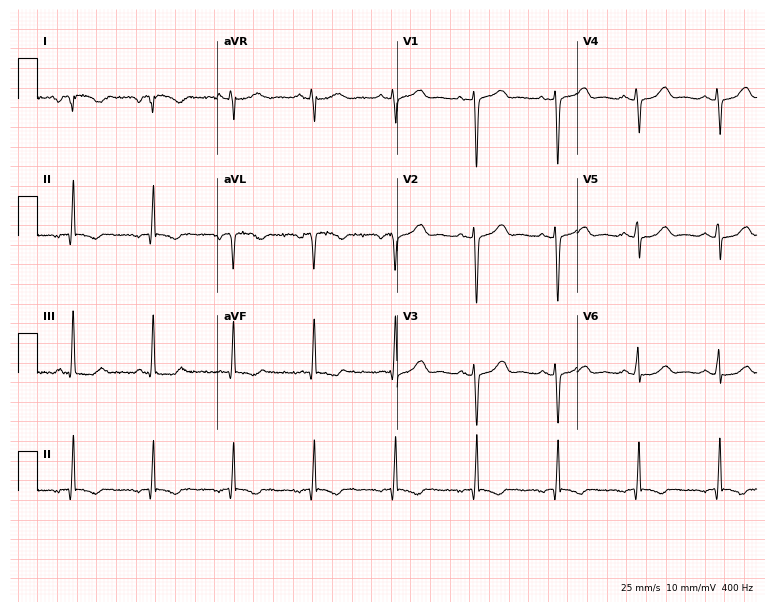
12-lead ECG from a 53-year-old woman. No first-degree AV block, right bundle branch block (RBBB), left bundle branch block (LBBB), sinus bradycardia, atrial fibrillation (AF) or sinus tachycardia recorded for this tracing.